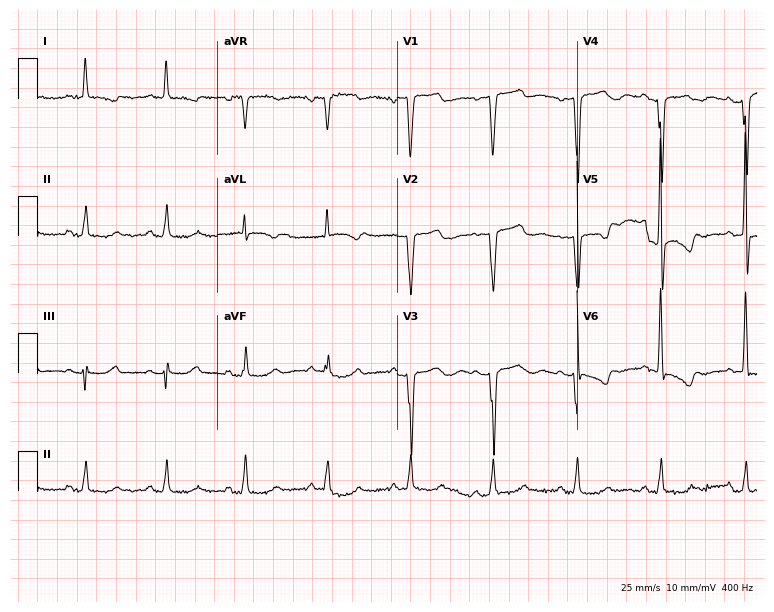
Standard 12-lead ECG recorded from a 79-year-old female patient. None of these six findings is recorded: first-degree AV block, right bundle branch block (RBBB), left bundle branch block (LBBB), sinus bradycardia, atrial fibrillation (AF), sinus tachycardia.